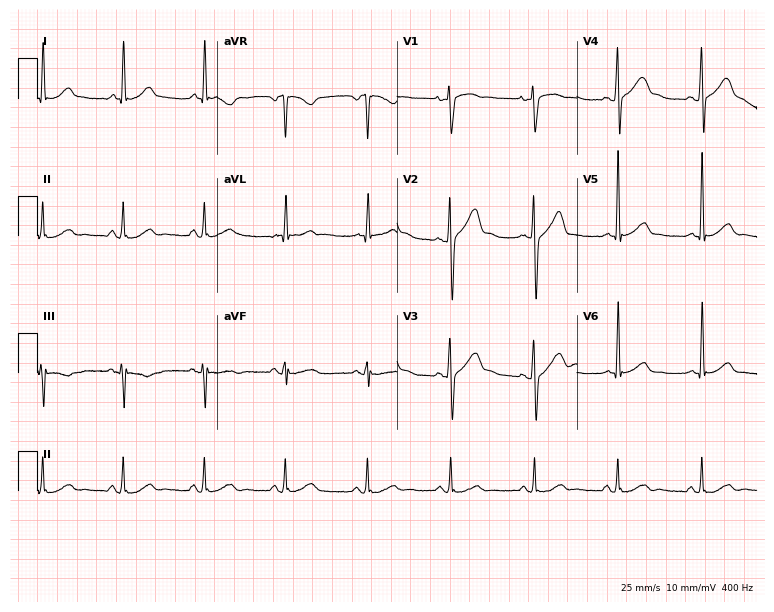
12-lead ECG (7.3-second recording at 400 Hz) from a 39-year-old male. Screened for six findings — first-degree AV block, right bundle branch block, left bundle branch block, sinus bradycardia, atrial fibrillation, sinus tachycardia — none is recorded. Only these six findings were labelled.